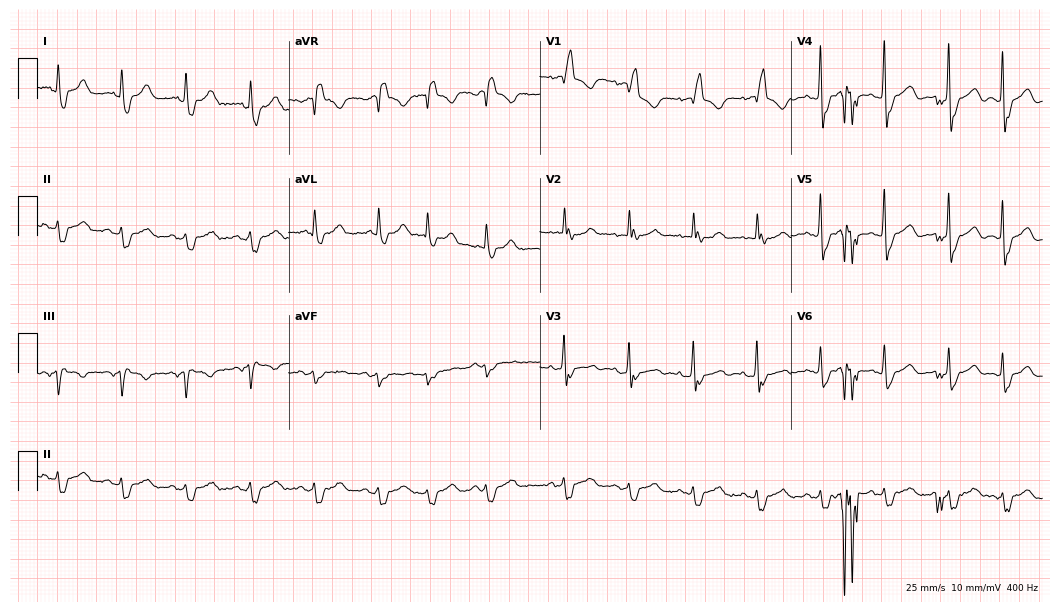
Resting 12-lead electrocardiogram (10.2-second recording at 400 Hz). Patient: a female, 73 years old. The tracing shows right bundle branch block.